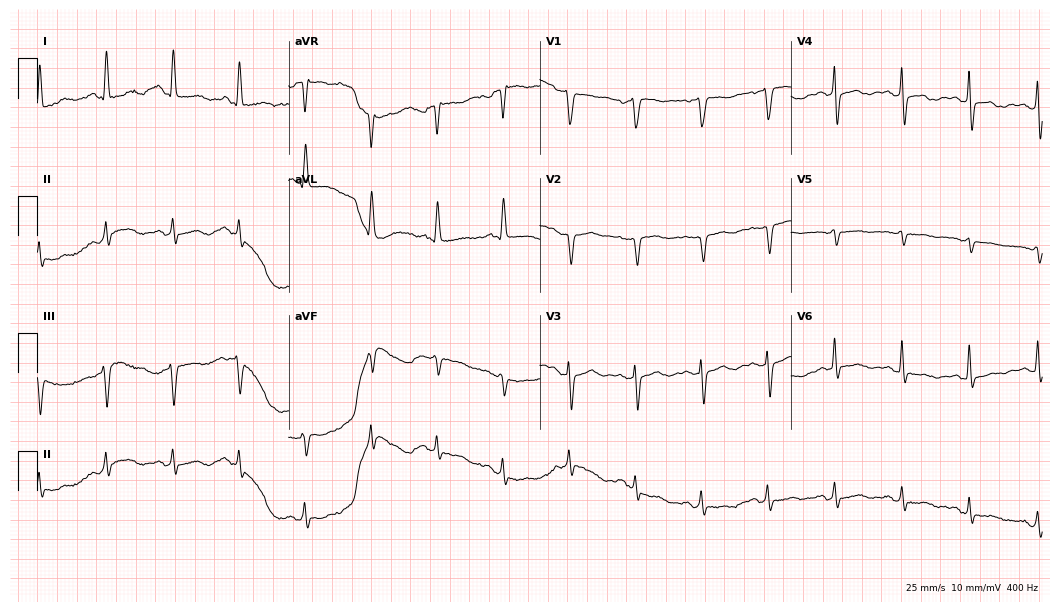
12-lead ECG from a 74-year-old woman (10.2-second recording at 400 Hz). No first-degree AV block, right bundle branch block, left bundle branch block, sinus bradycardia, atrial fibrillation or sinus tachycardia recorded for this tracing. Only these six findings were labelled.